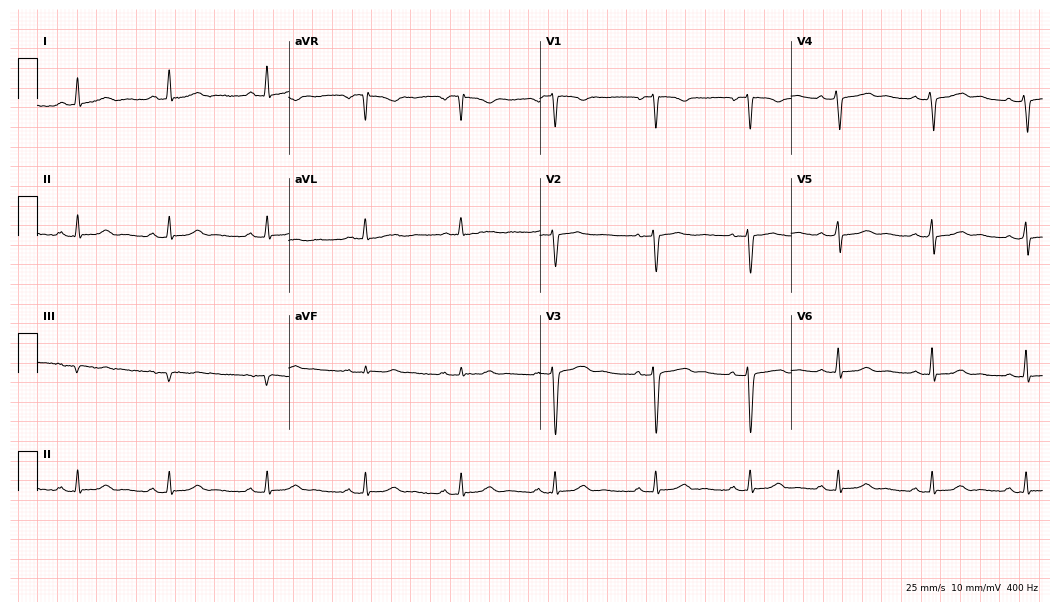
Resting 12-lead electrocardiogram. Patient: a 42-year-old female. None of these six findings is recorded: first-degree AV block, right bundle branch block, left bundle branch block, sinus bradycardia, atrial fibrillation, sinus tachycardia.